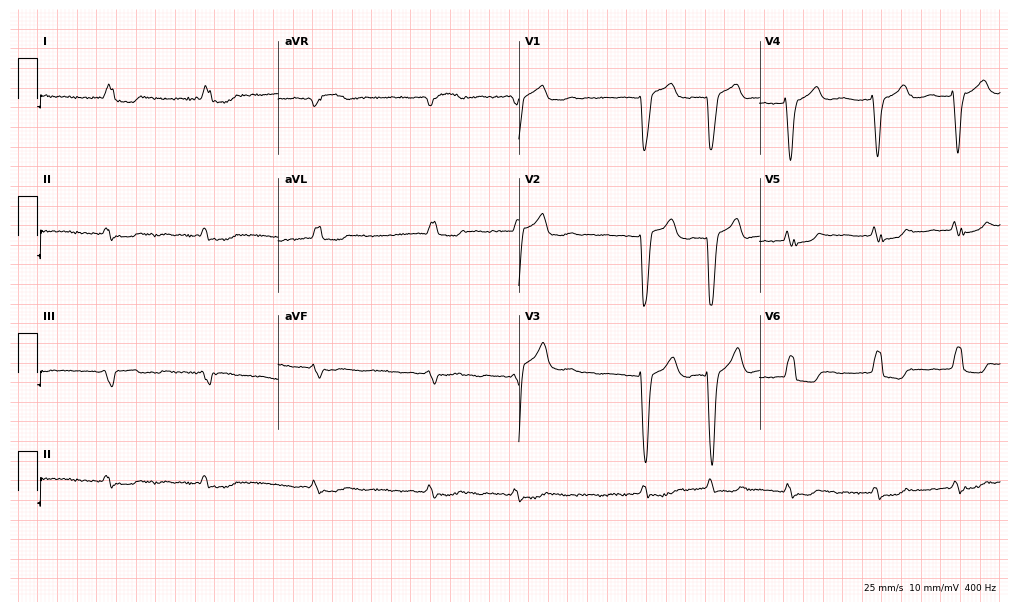
12-lead ECG from a 79-year-old female patient. Findings include left bundle branch block, atrial fibrillation.